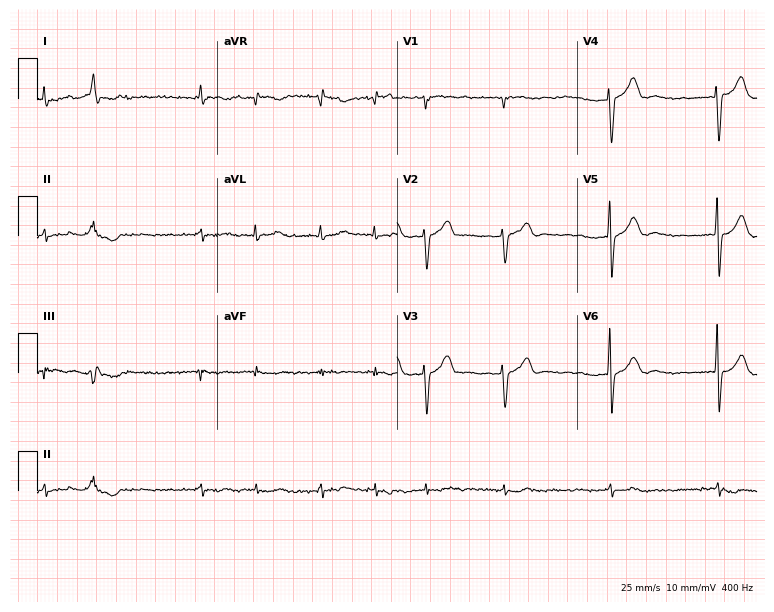
Resting 12-lead electrocardiogram (7.3-second recording at 400 Hz). Patient: a male, 84 years old. The tracing shows atrial fibrillation.